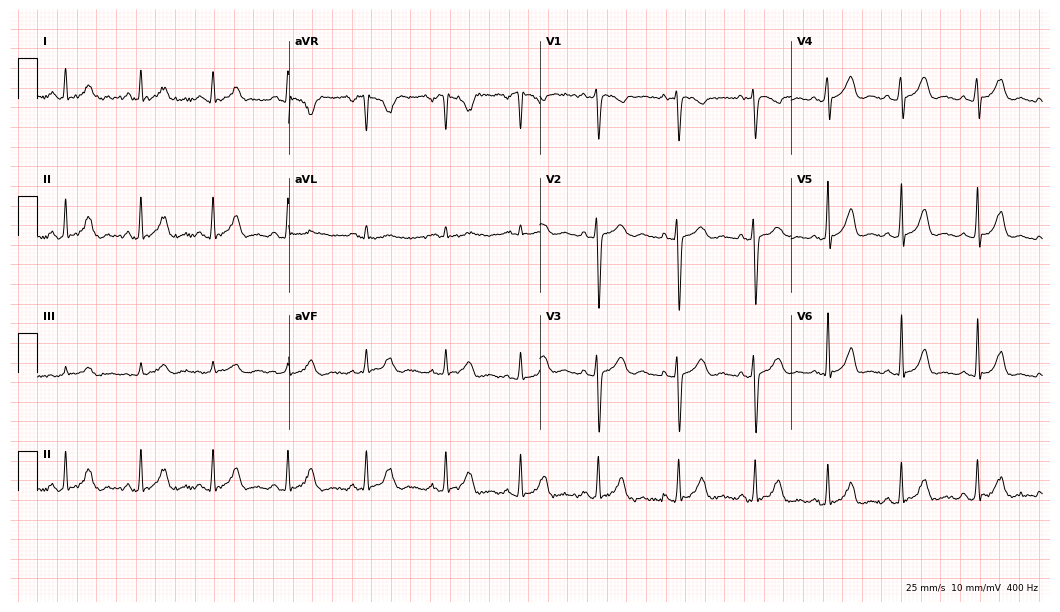
ECG — a female patient, 24 years old. Labelled as a normal ECG.